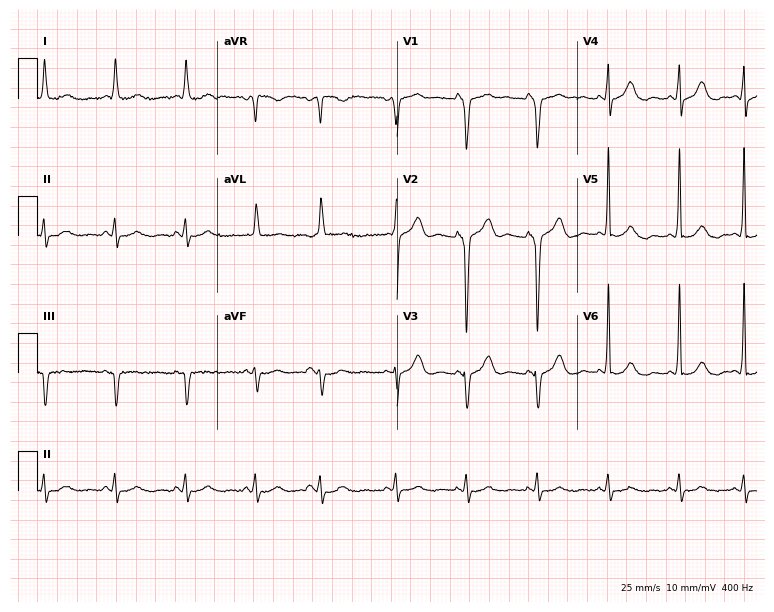
12-lead ECG (7.3-second recording at 400 Hz) from a woman, 85 years old. Screened for six findings — first-degree AV block, right bundle branch block, left bundle branch block, sinus bradycardia, atrial fibrillation, sinus tachycardia — none is recorded.